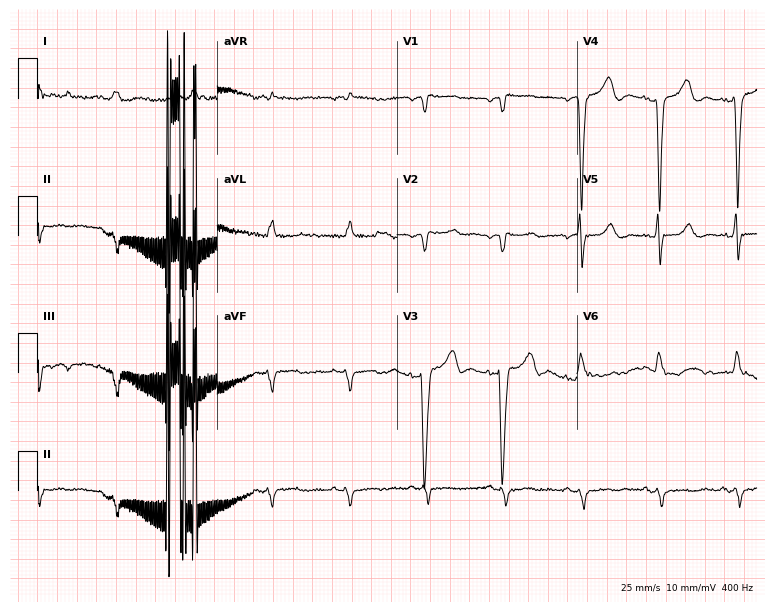
Standard 12-lead ECG recorded from a male, 73 years old (7.3-second recording at 400 Hz). None of these six findings is recorded: first-degree AV block, right bundle branch block (RBBB), left bundle branch block (LBBB), sinus bradycardia, atrial fibrillation (AF), sinus tachycardia. Findings outside these six are not listed.